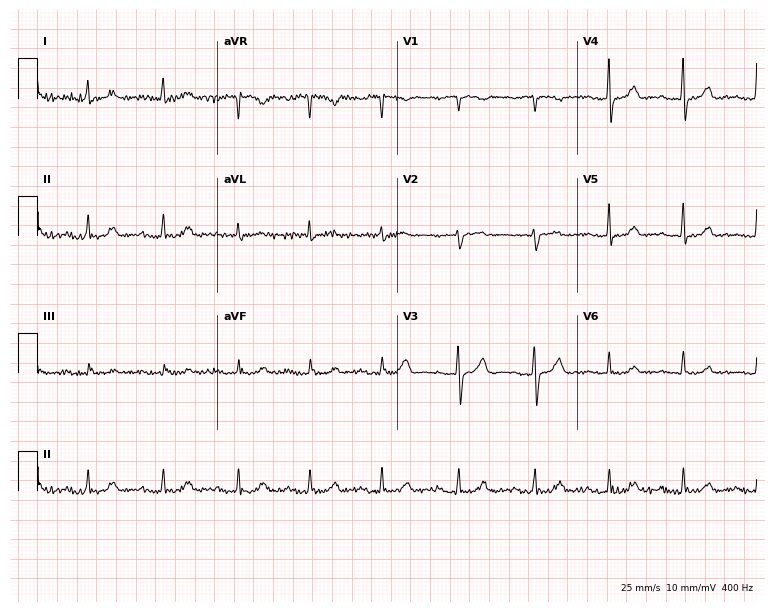
Standard 12-lead ECG recorded from a male patient, 87 years old. None of these six findings is recorded: first-degree AV block, right bundle branch block (RBBB), left bundle branch block (LBBB), sinus bradycardia, atrial fibrillation (AF), sinus tachycardia.